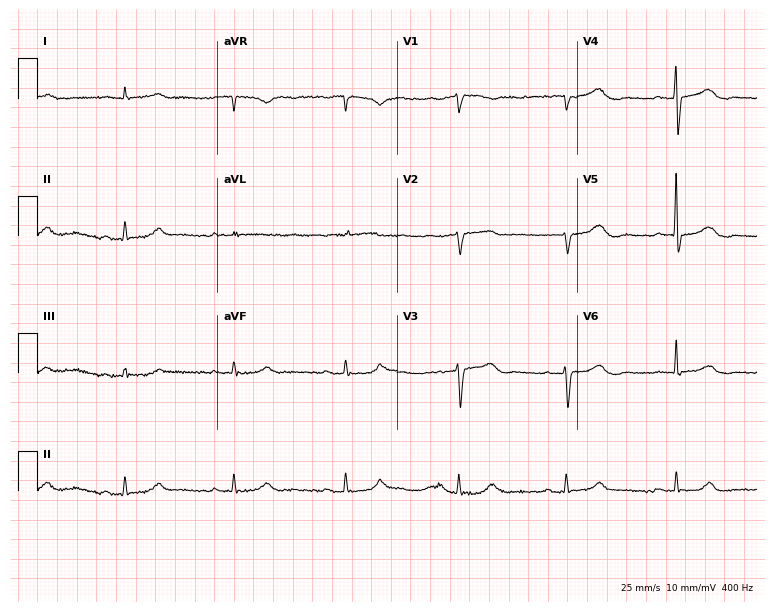
Standard 12-lead ECG recorded from a male, 80 years old. None of these six findings is recorded: first-degree AV block, right bundle branch block (RBBB), left bundle branch block (LBBB), sinus bradycardia, atrial fibrillation (AF), sinus tachycardia. Findings outside these six are not listed.